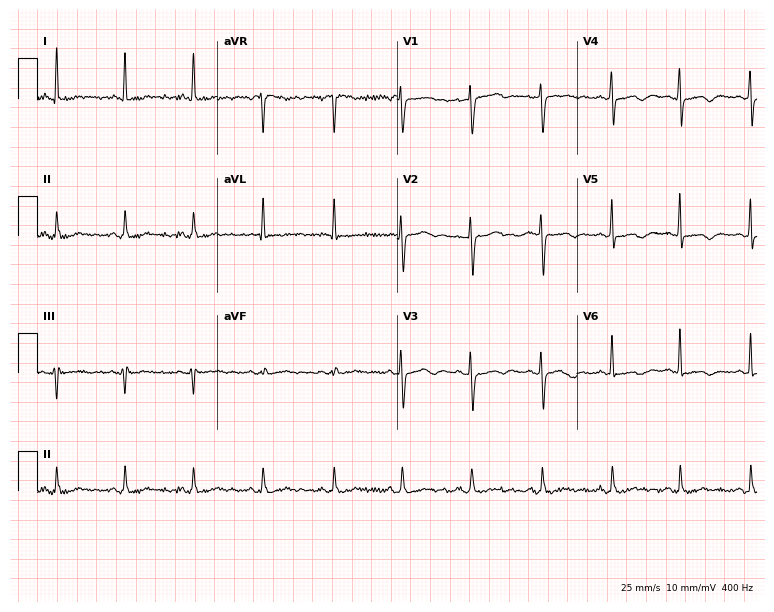
12-lead ECG (7.3-second recording at 400 Hz) from a 42-year-old female patient. Screened for six findings — first-degree AV block, right bundle branch block, left bundle branch block, sinus bradycardia, atrial fibrillation, sinus tachycardia — none is recorded.